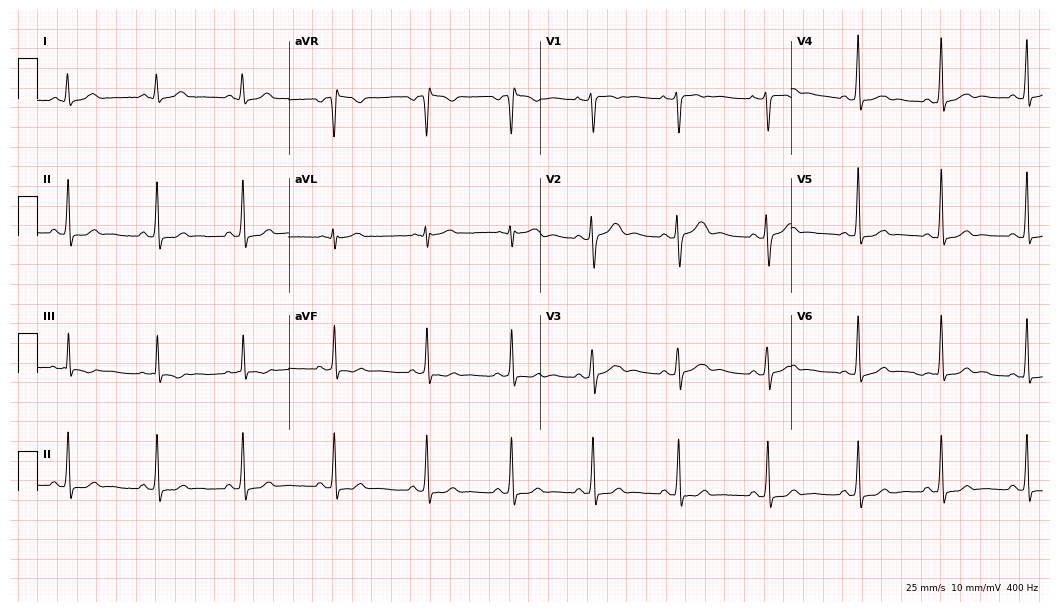
ECG — a 22-year-old female. Labelled as a normal ECG.